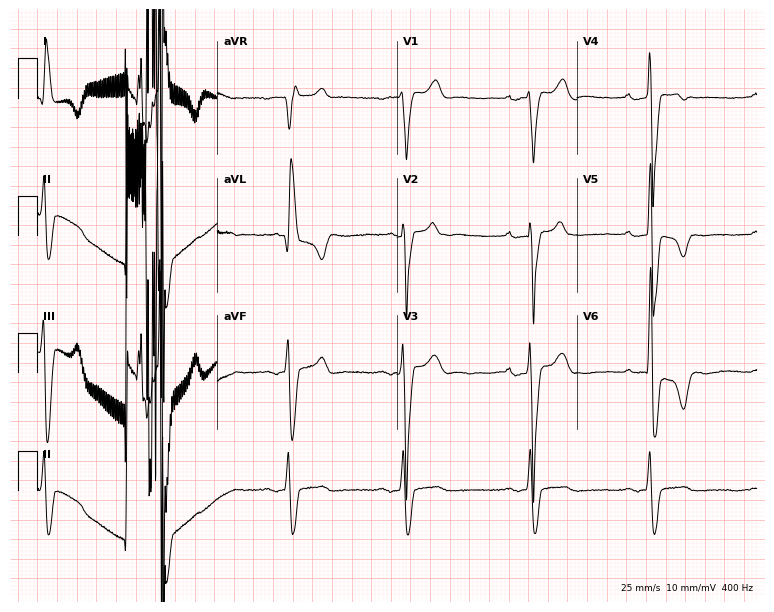
Standard 12-lead ECG recorded from a man, 81 years old. The tracing shows sinus bradycardia (a sinus rate of 50 beats per minute or less).